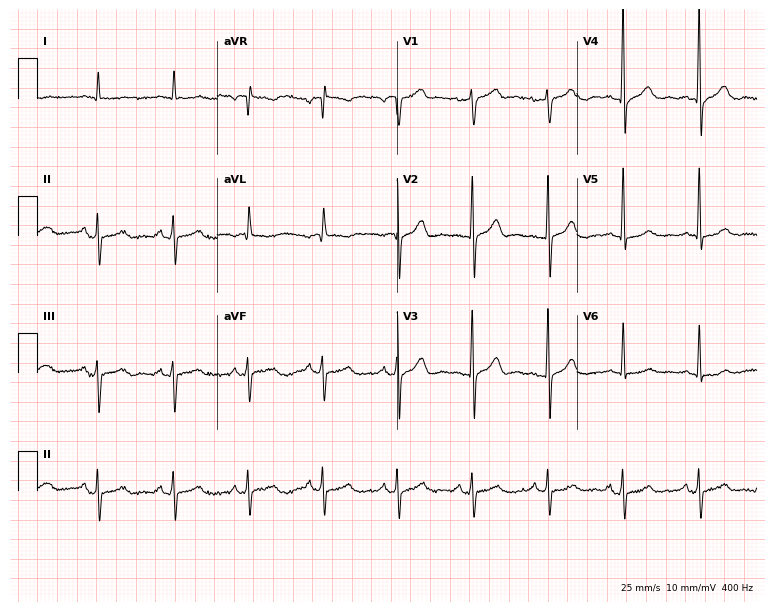
Electrocardiogram, a 77-year-old man. Overall reading on record: normal ECG.